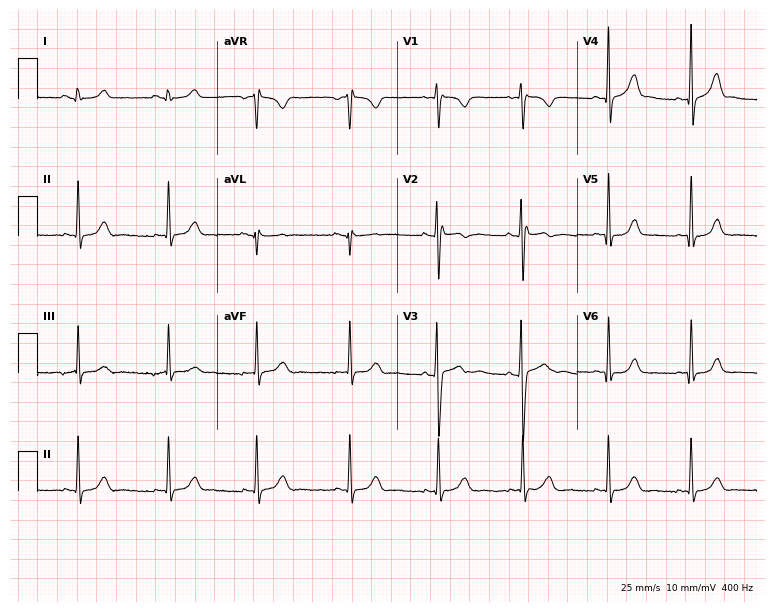
Electrocardiogram (7.3-second recording at 400 Hz), a woman, 25 years old. Of the six screened findings (first-degree AV block, right bundle branch block (RBBB), left bundle branch block (LBBB), sinus bradycardia, atrial fibrillation (AF), sinus tachycardia), none is recorded. Only these six findings were labelled.